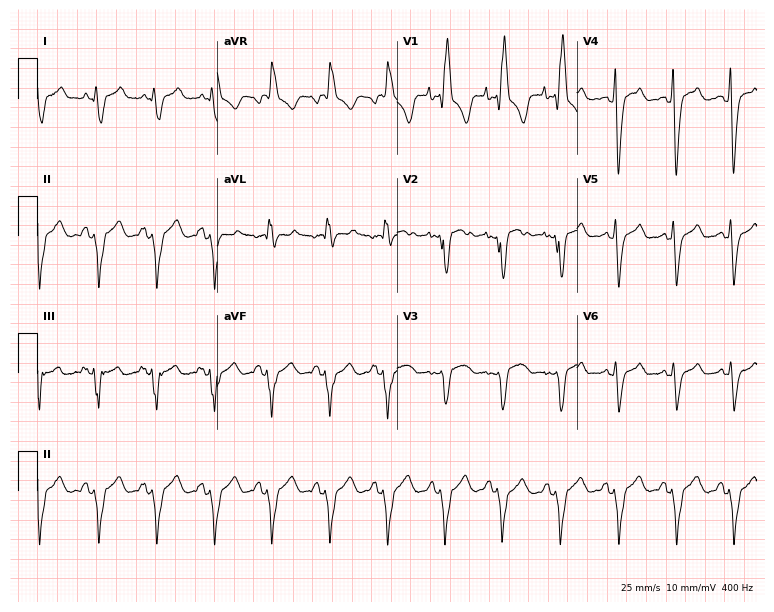
Resting 12-lead electrocardiogram. Patient: a female, 40 years old. The tracing shows right bundle branch block, sinus tachycardia (a sinus rate of 100 beats per minute or more).